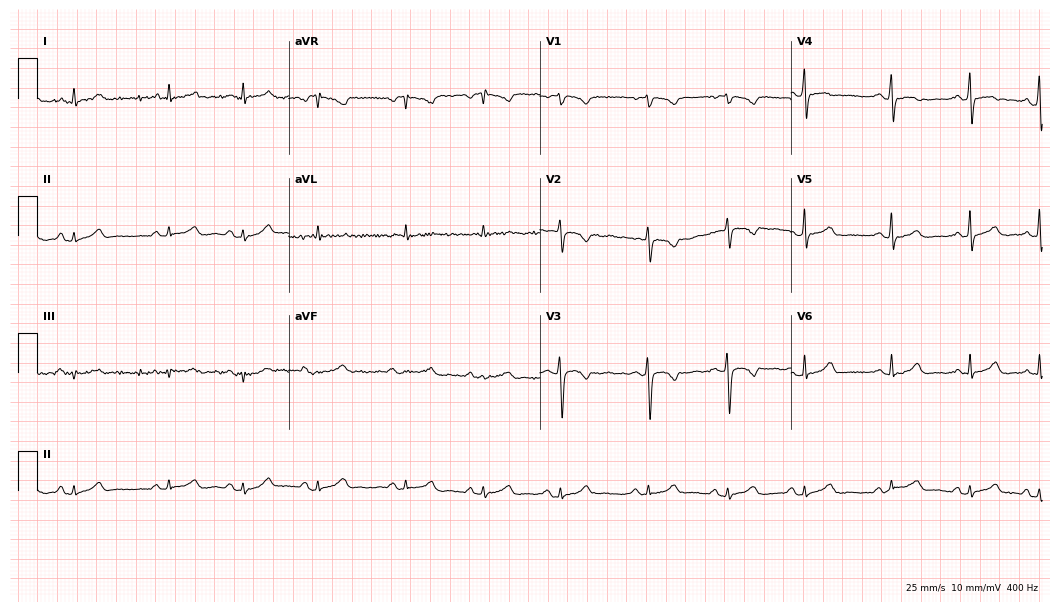
Resting 12-lead electrocardiogram. Patient: a 20-year-old female. Read as a normal ECG.